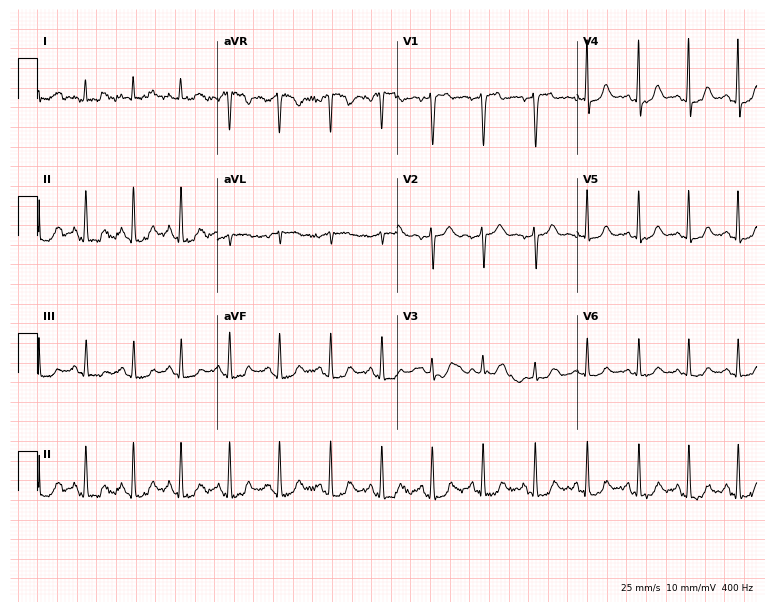
Electrocardiogram (7.3-second recording at 400 Hz), a 40-year-old woman. Interpretation includes sinus tachycardia (a sinus rate of 100 beats per minute or more).